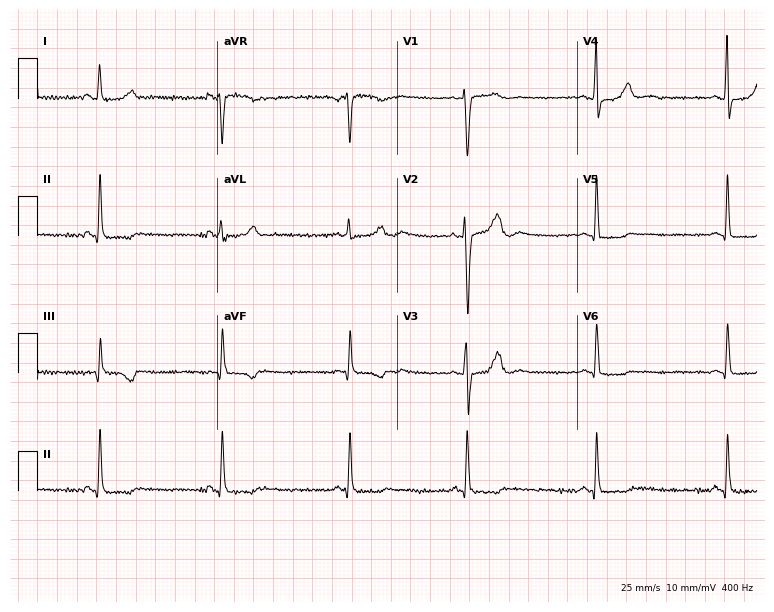
12-lead ECG from a woman, 47 years old (7.3-second recording at 400 Hz). No first-degree AV block, right bundle branch block, left bundle branch block, sinus bradycardia, atrial fibrillation or sinus tachycardia recorded for this tracing.